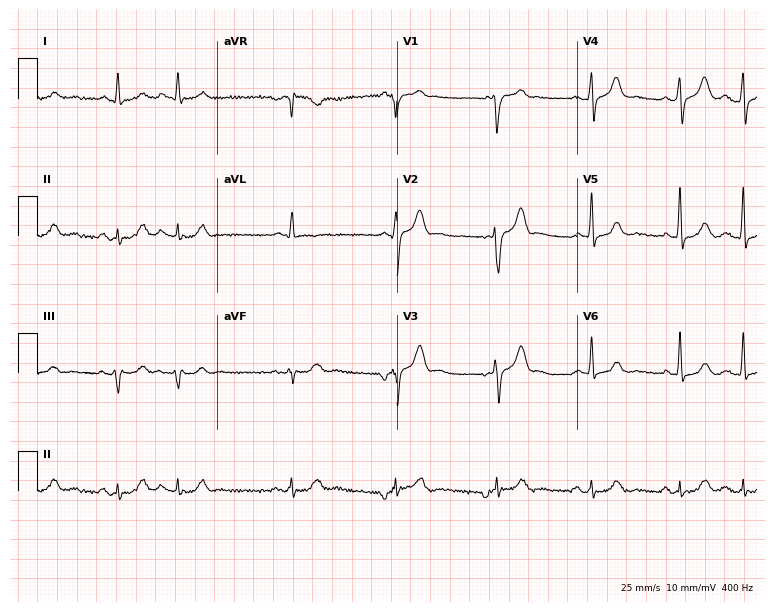
ECG — an 85-year-old man. Screened for six findings — first-degree AV block, right bundle branch block (RBBB), left bundle branch block (LBBB), sinus bradycardia, atrial fibrillation (AF), sinus tachycardia — none is recorded.